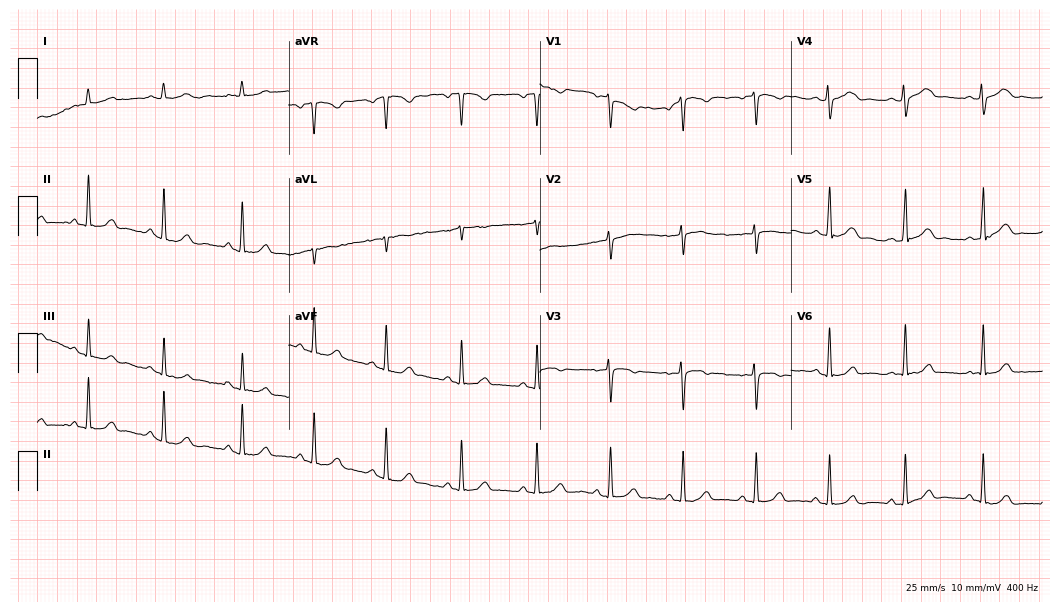
Electrocardiogram, a female patient, 30 years old. Overall reading on record: normal ECG.